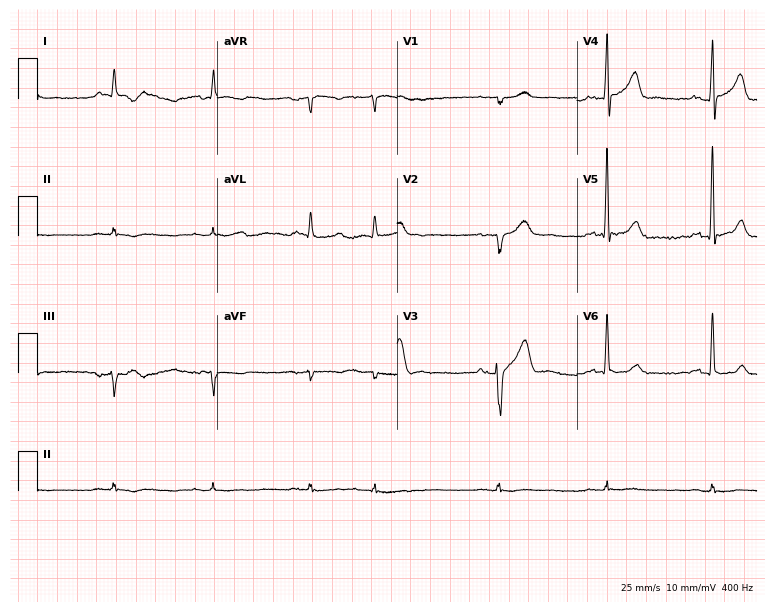
ECG (7.3-second recording at 400 Hz) — a male, 70 years old. Screened for six findings — first-degree AV block, right bundle branch block, left bundle branch block, sinus bradycardia, atrial fibrillation, sinus tachycardia — none is recorded. Only these six findings were labelled.